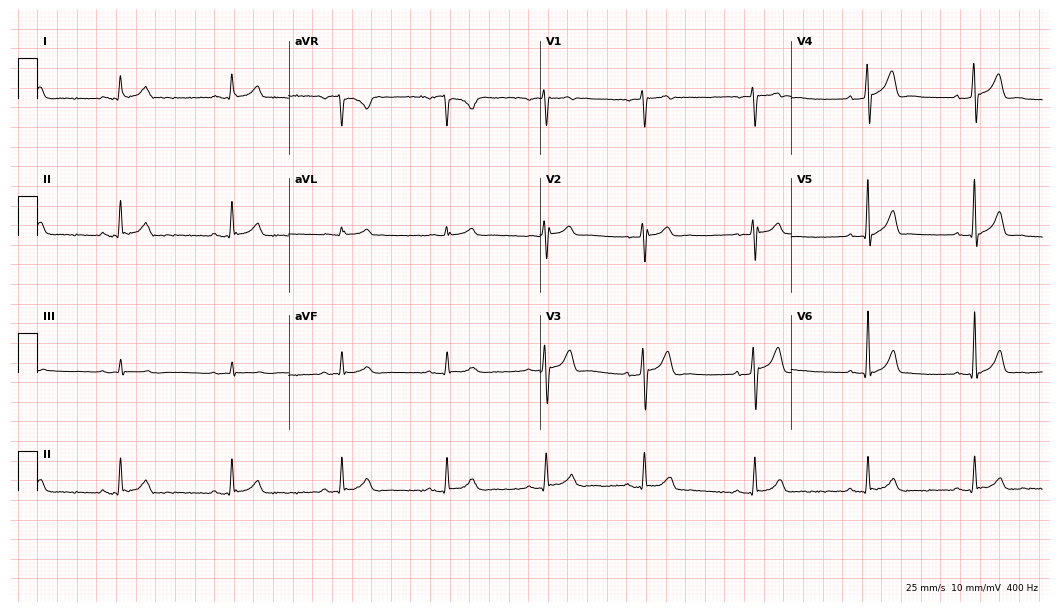
12-lead ECG (10.2-second recording at 400 Hz) from a male, 44 years old. Labelled as a normal ECG.